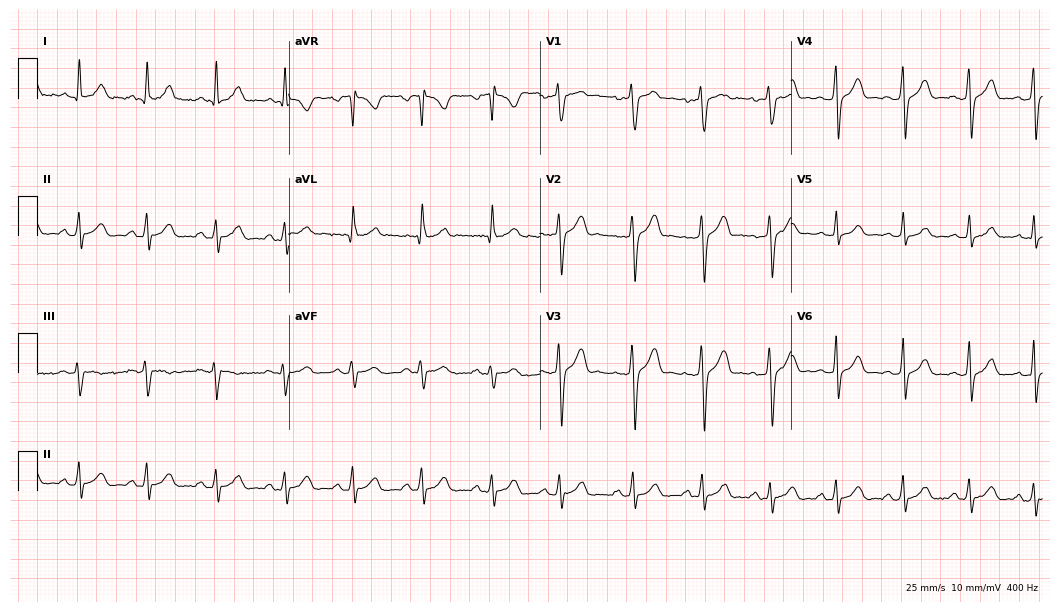
ECG (10.2-second recording at 400 Hz) — a male patient, 26 years old. Labelled as a normal ECG.